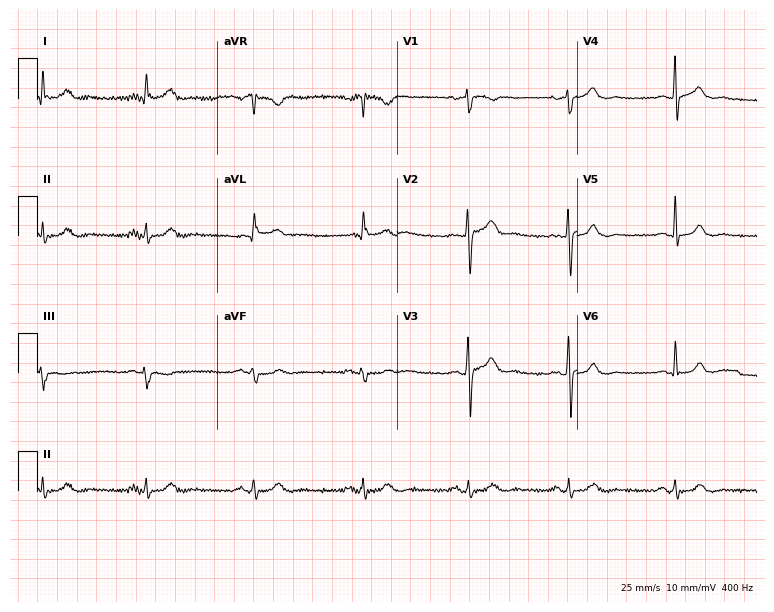
12-lead ECG from a male, 32 years old (7.3-second recording at 400 Hz). Recorded interpretation: within normal limits.